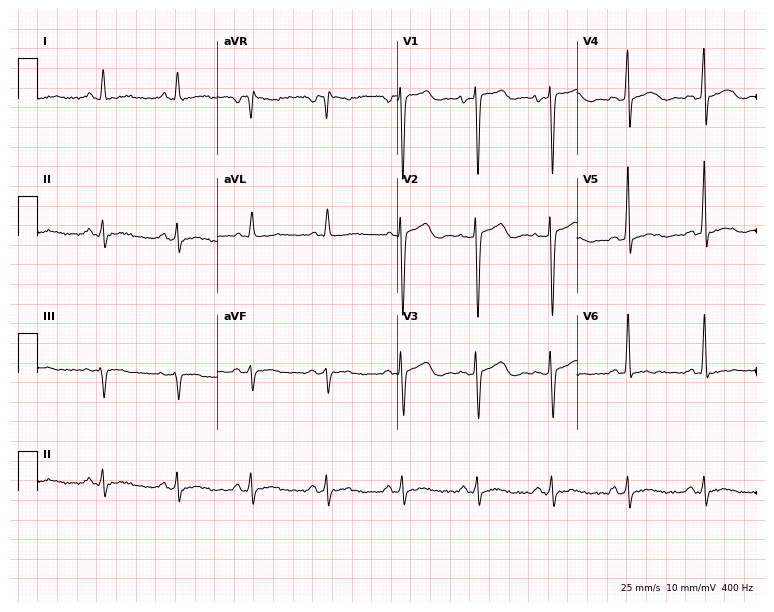
ECG — a male, 37 years old. Screened for six findings — first-degree AV block, right bundle branch block (RBBB), left bundle branch block (LBBB), sinus bradycardia, atrial fibrillation (AF), sinus tachycardia — none is recorded.